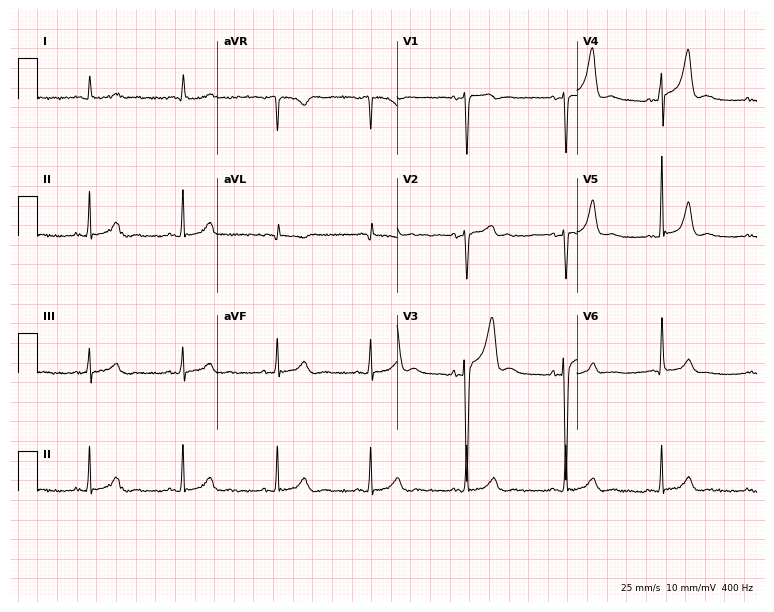
ECG — a 74-year-old male patient. Screened for six findings — first-degree AV block, right bundle branch block, left bundle branch block, sinus bradycardia, atrial fibrillation, sinus tachycardia — none is recorded.